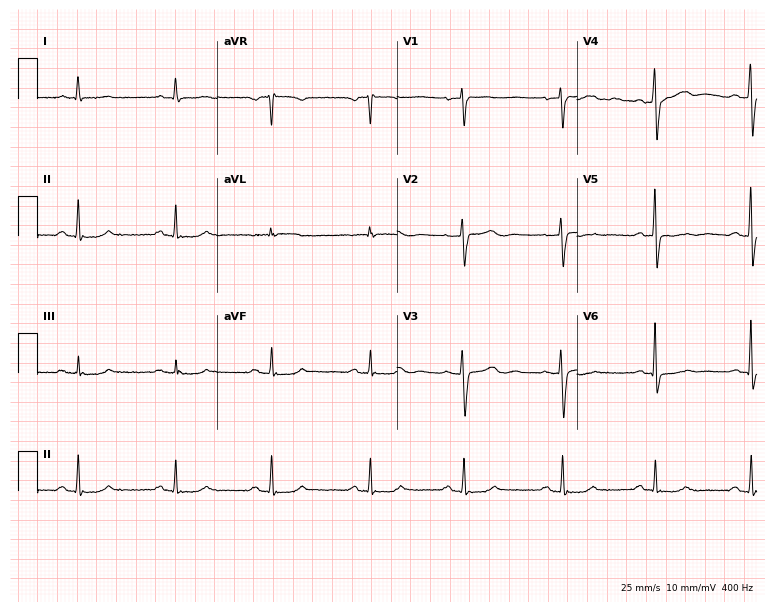
Resting 12-lead electrocardiogram. Patient: a woman, 53 years old. Read as a normal ECG.